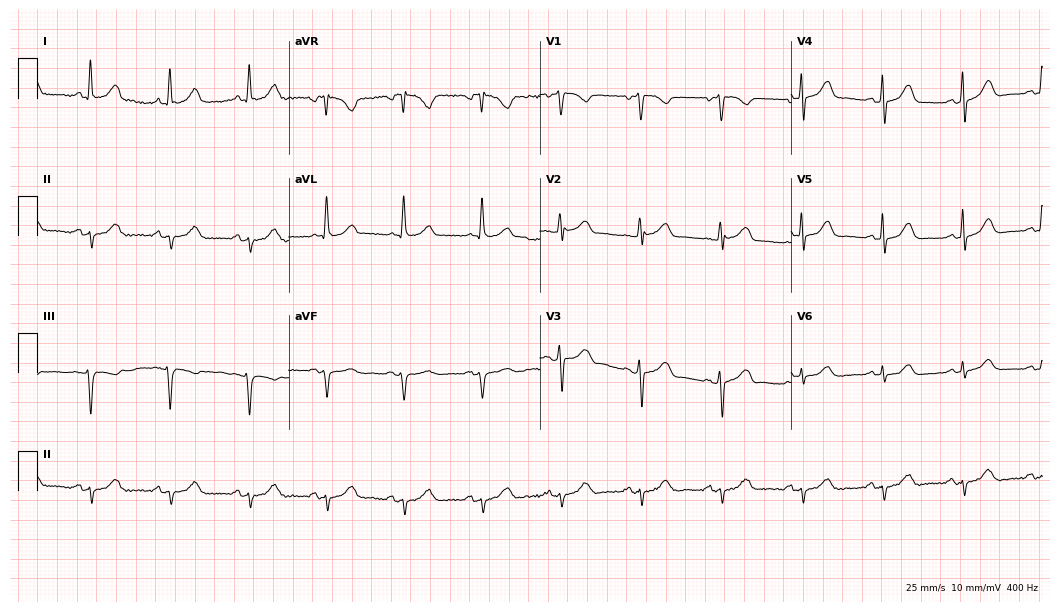
12-lead ECG (10.2-second recording at 400 Hz) from a 66-year-old female patient. Labelled as a normal ECG.